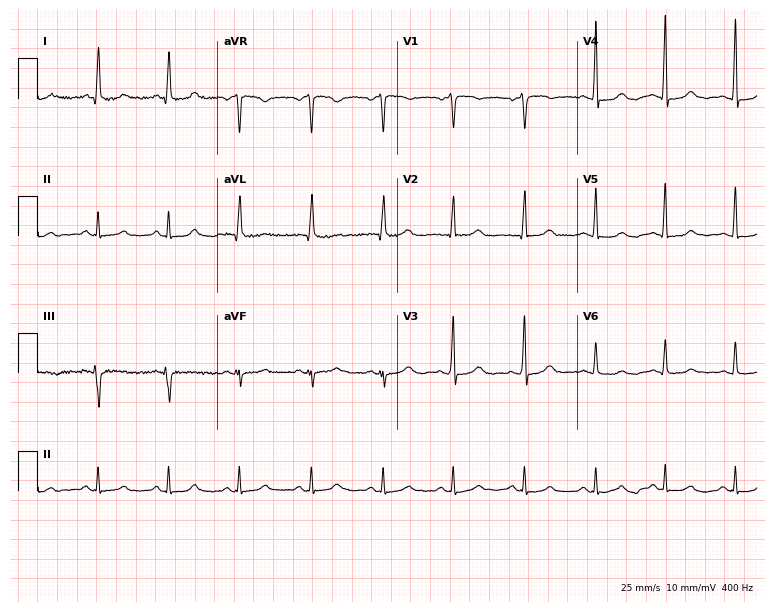
Electrocardiogram (7.3-second recording at 400 Hz), a 51-year-old female. Overall reading on record: normal ECG.